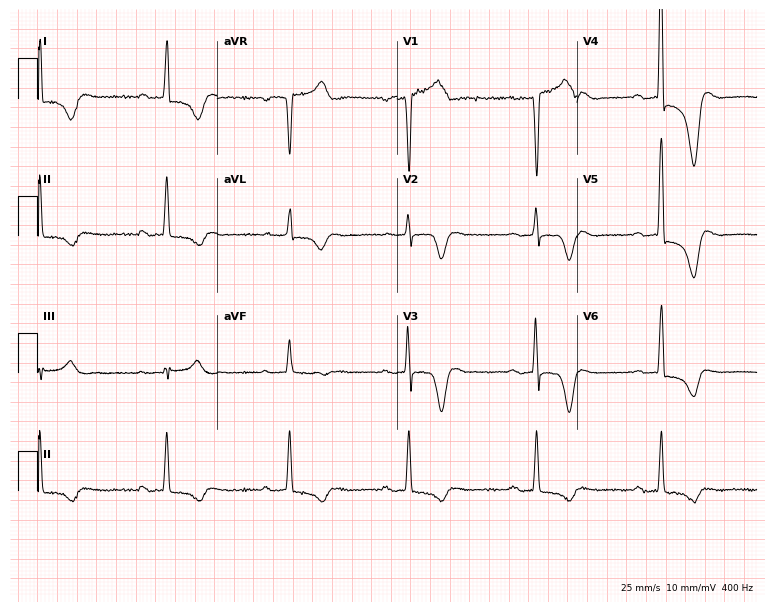
Standard 12-lead ECG recorded from a 64-year-old man. The tracing shows sinus bradycardia (a sinus rate of 50 beats per minute or less).